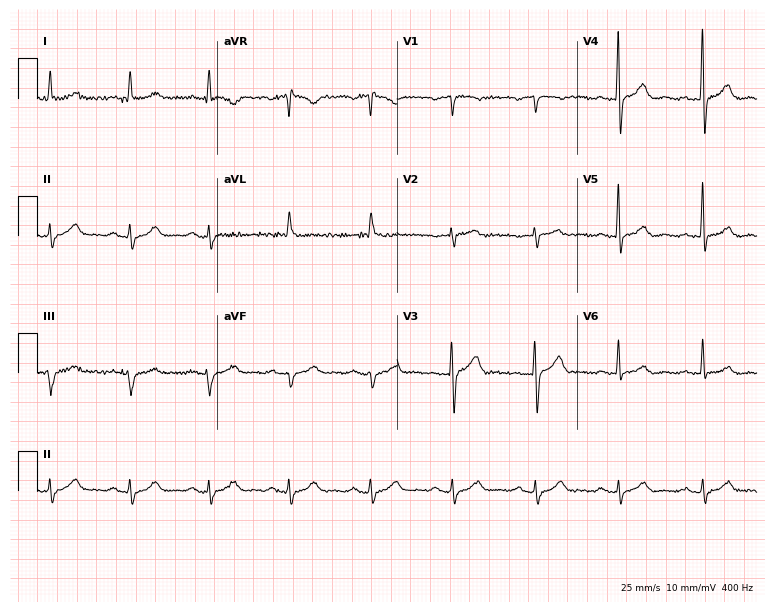
Standard 12-lead ECG recorded from a 72-year-old man. Read as a normal ECG.